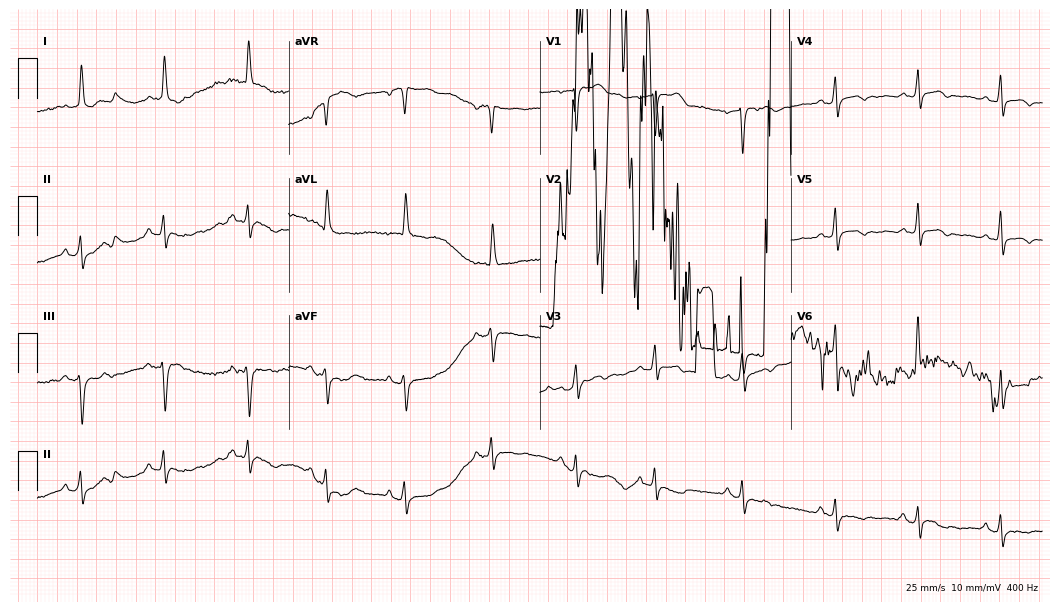
Resting 12-lead electrocardiogram (10.2-second recording at 400 Hz). Patient: an 82-year-old female. None of these six findings is recorded: first-degree AV block, right bundle branch block, left bundle branch block, sinus bradycardia, atrial fibrillation, sinus tachycardia. Findings outside these six are not listed.